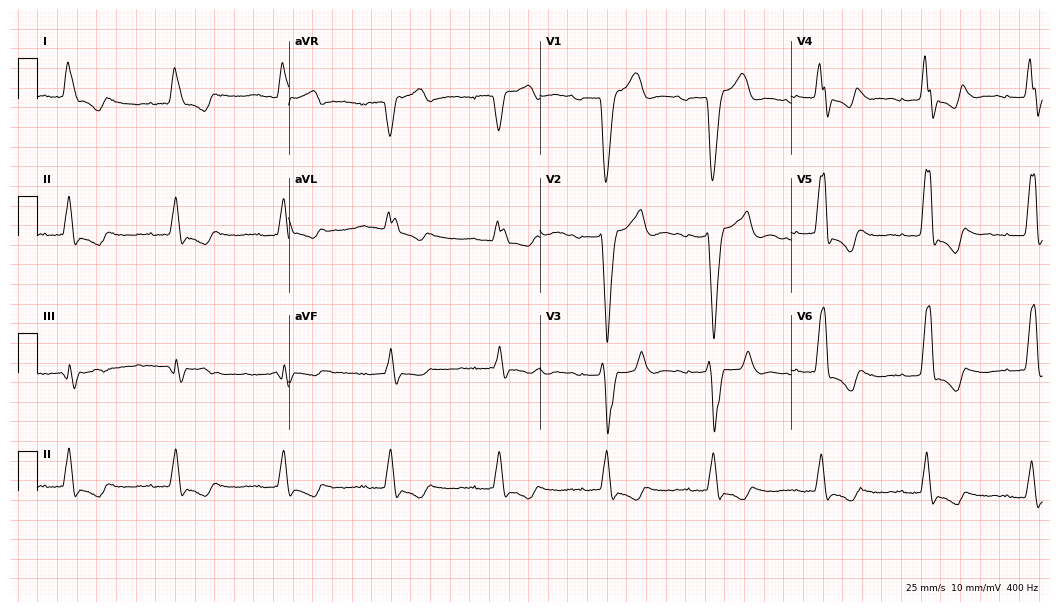
Resting 12-lead electrocardiogram (10.2-second recording at 400 Hz). Patient: a 77-year-old male. The tracing shows first-degree AV block, left bundle branch block.